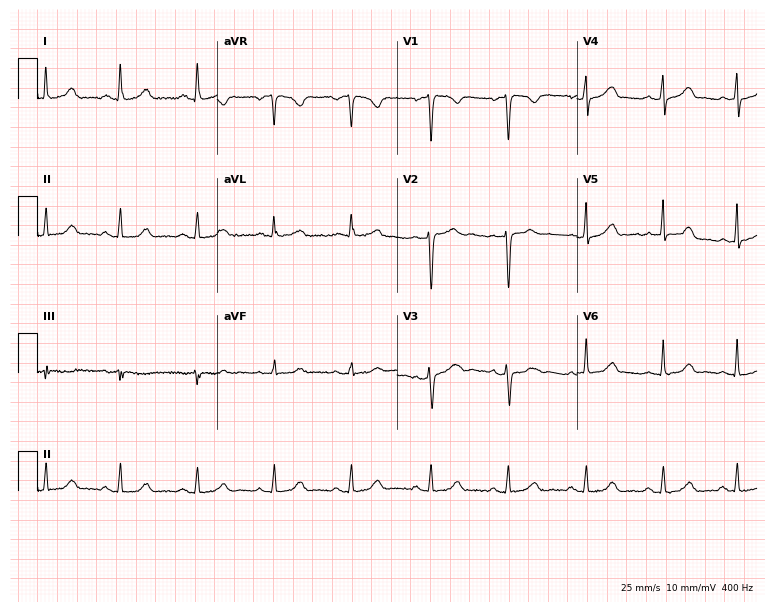
12-lead ECG from a female, 34 years old. Labelled as a normal ECG.